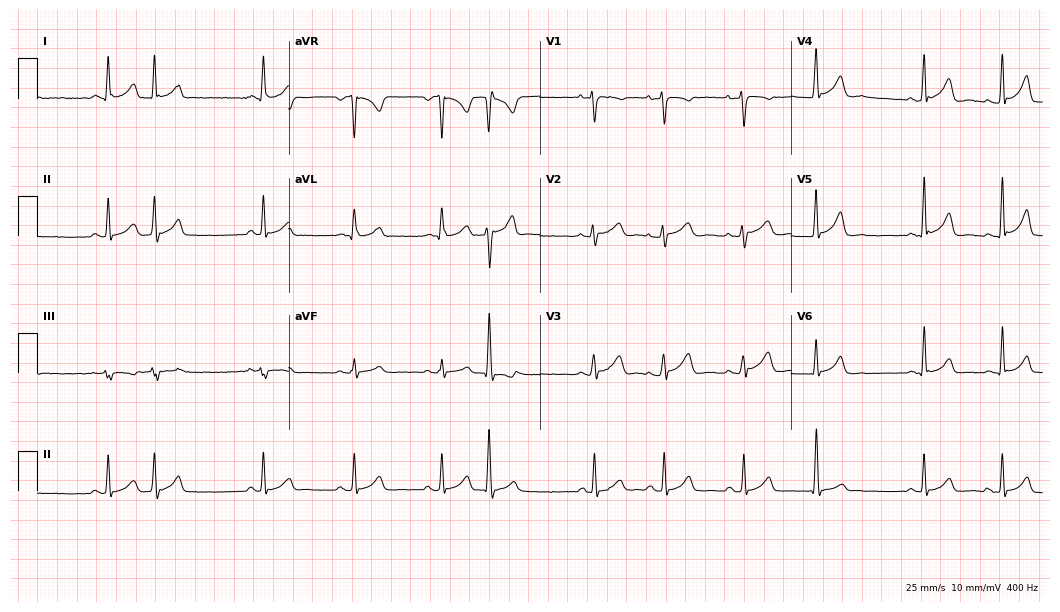
Electrocardiogram, a female, 17 years old. Of the six screened findings (first-degree AV block, right bundle branch block (RBBB), left bundle branch block (LBBB), sinus bradycardia, atrial fibrillation (AF), sinus tachycardia), none is recorded. Findings outside these six are not listed.